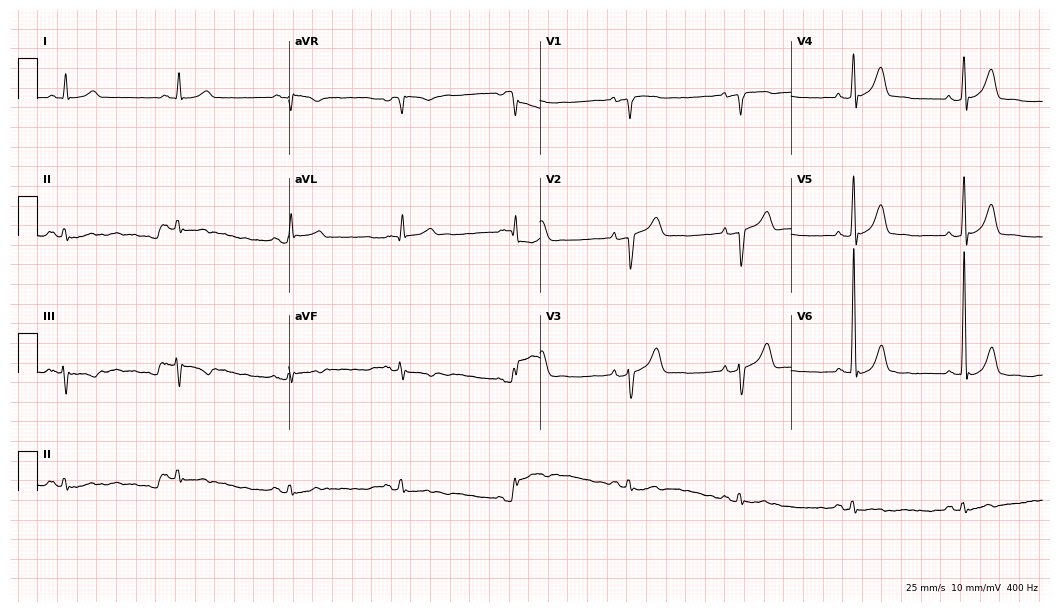
Resting 12-lead electrocardiogram (10.2-second recording at 400 Hz). Patient: a male, 76 years old. None of these six findings is recorded: first-degree AV block, right bundle branch block, left bundle branch block, sinus bradycardia, atrial fibrillation, sinus tachycardia.